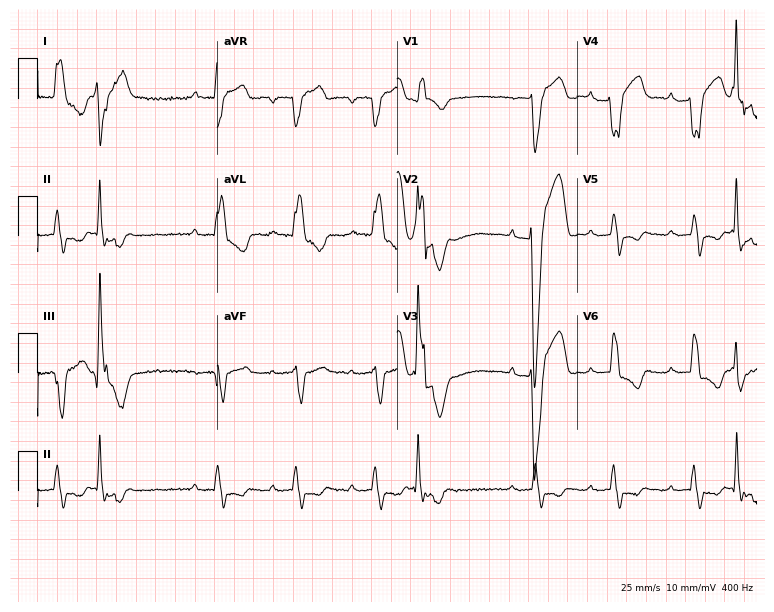
Standard 12-lead ECG recorded from a man, 75 years old (7.3-second recording at 400 Hz). The tracing shows left bundle branch block.